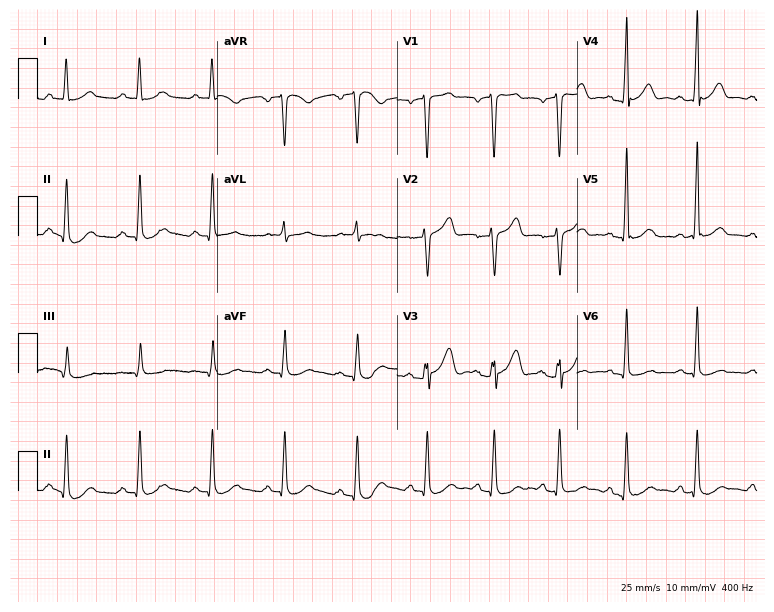
12-lead ECG from a male patient, 39 years old. Recorded interpretation: within normal limits.